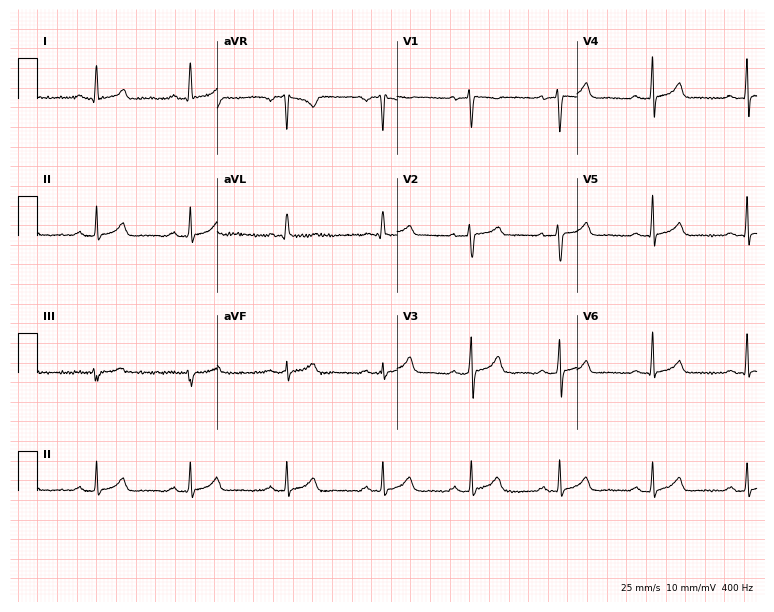
ECG — a female patient, 49 years old. Labelled as a normal ECG.